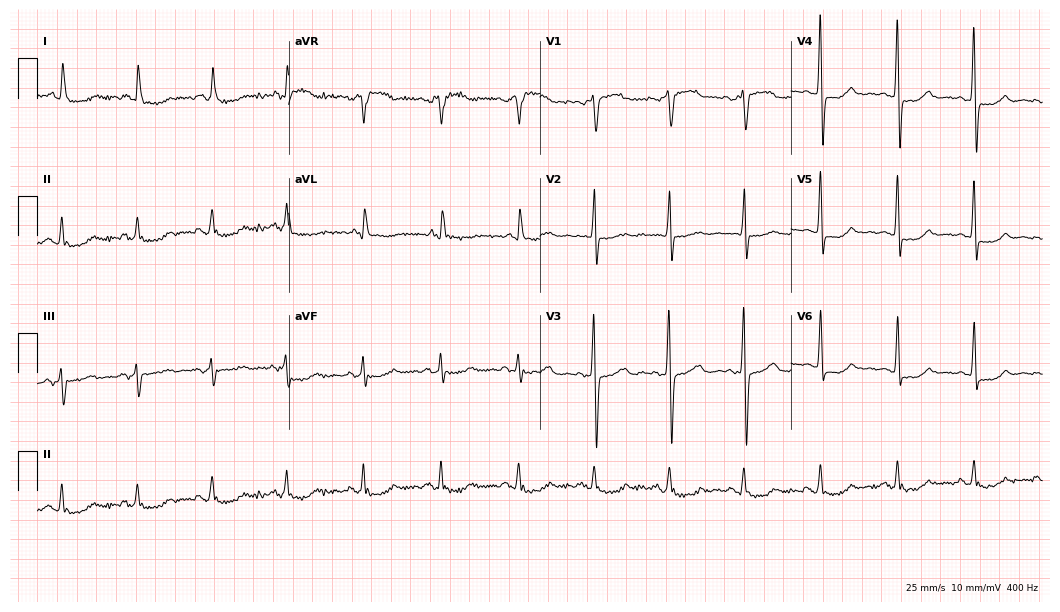
12-lead ECG from a 58-year-old woman. No first-degree AV block, right bundle branch block, left bundle branch block, sinus bradycardia, atrial fibrillation or sinus tachycardia recorded for this tracing. Other findings, if any, are not listed.